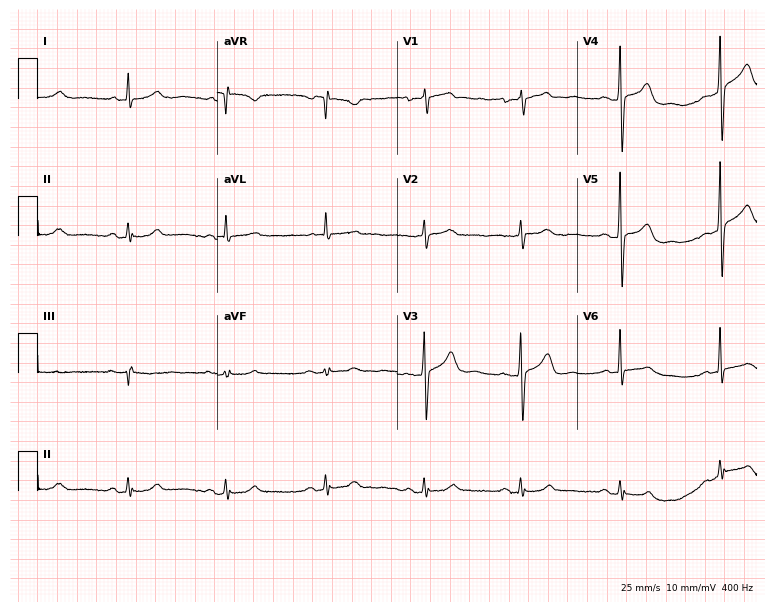
Standard 12-lead ECG recorded from a 78-year-old female patient (7.3-second recording at 400 Hz). Read as a normal ECG.